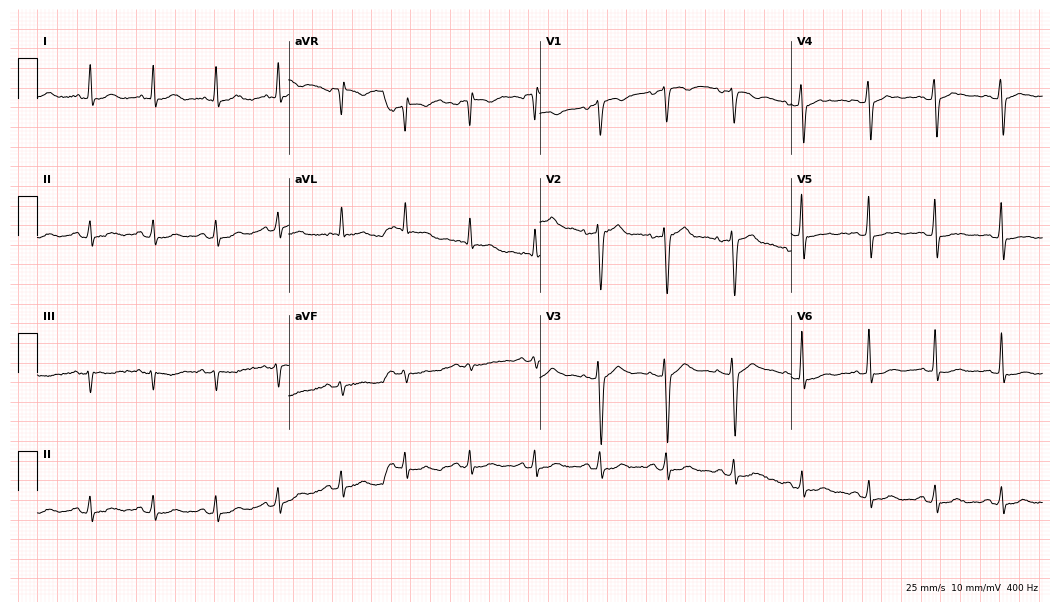
12-lead ECG (10.2-second recording at 400 Hz) from a 42-year-old male patient. Screened for six findings — first-degree AV block, right bundle branch block, left bundle branch block, sinus bradycardia, atrial fibrillation, sinus tachycardia — none is recorded. Findings outside these six are not listed.